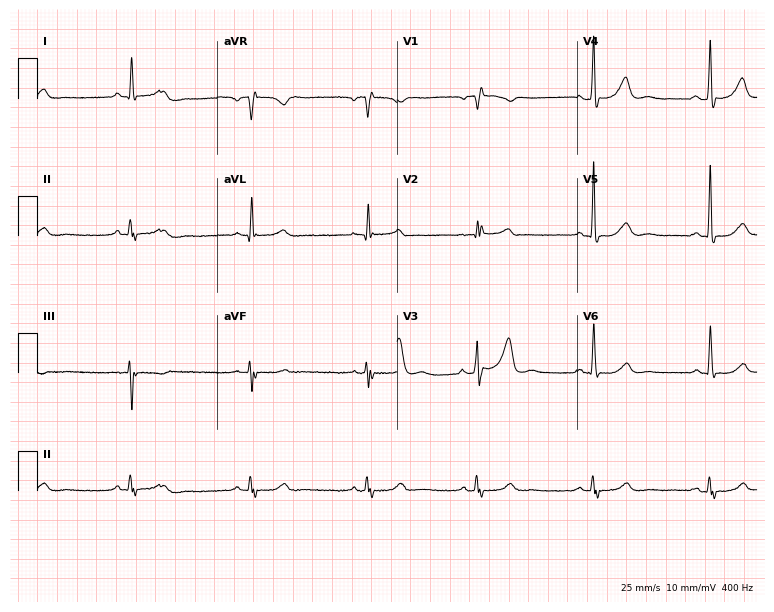
ECG (7.3-second recording at 400 Hz) — a male, 78 years old. Findings include sinus bradycardia (a sinus rate of 50 beats per minute or less).